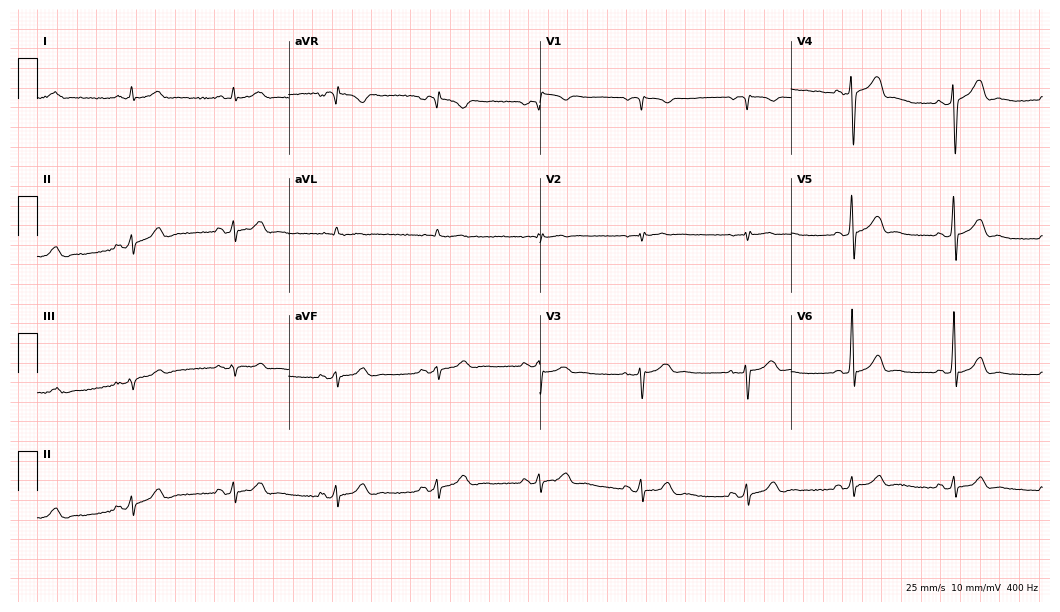
Standard 12-lead ECG recorded from a 59-year-old male patient (10.2-second recording at 400 Hz). Read as a normal ECG.